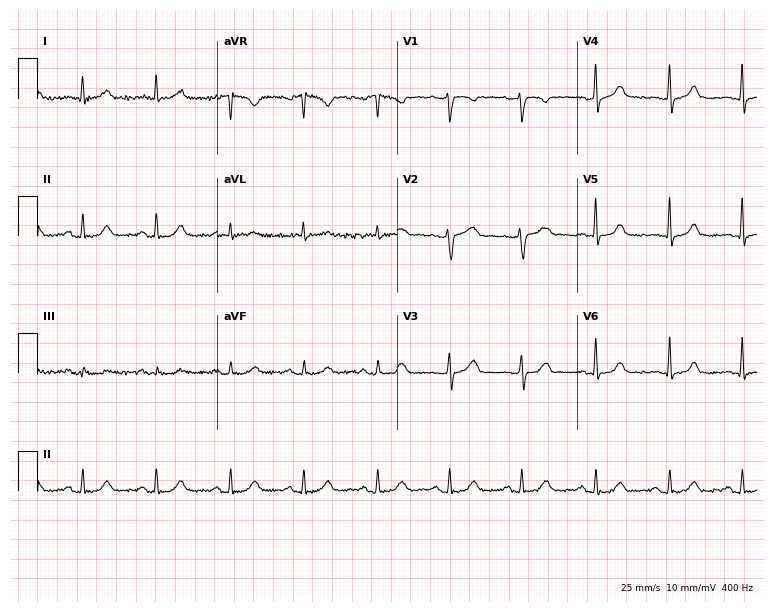
Resting 12-lead electrocardiogram. Patient: a female, 34 years old. None of these six findings is recorded: first-degree AV block, right bundle branch block, left bundle branch block, sinus bradycardia, atrial fibrillation, sinus tachycardia.